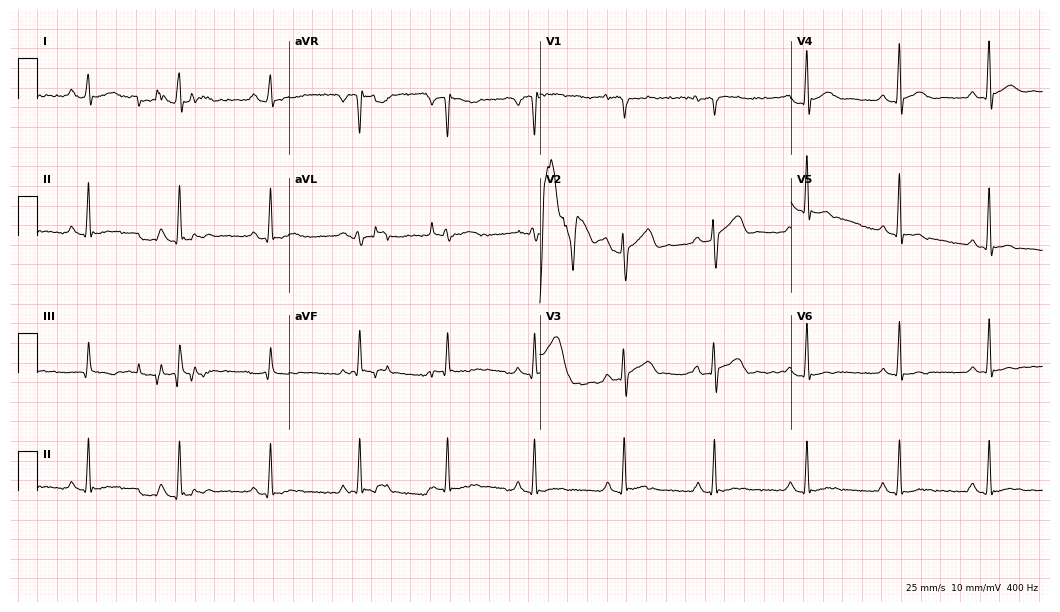
Standard 12-lead ECG recorded from a 39-year-old male (10.2-second recording at 400 Hz). None of these six findings is recorded: first-degree AV block, right bundle branch block, left bundle branch block, sinus bradycardia, atrial fibrillation, sinus tachycardia. Findings outside these six are not listed.